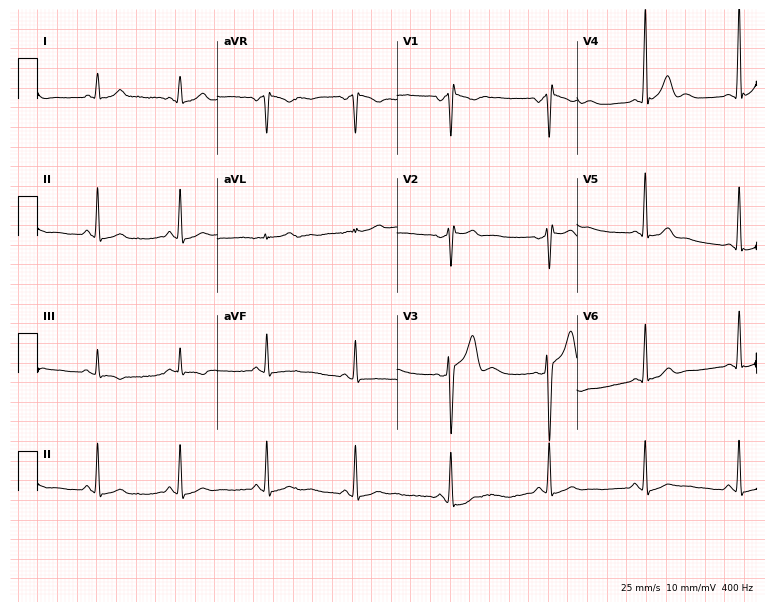
ECG (7.3-second recording at 400 Hz) — a 23-year-old male. Screened for six findings — first-degree AV block, right bundle branch block, left bundle branch block, sinus bradycardia, atrial fibrillation, sinus tachycardia — none is recorded. Findings outside these six are not listed.